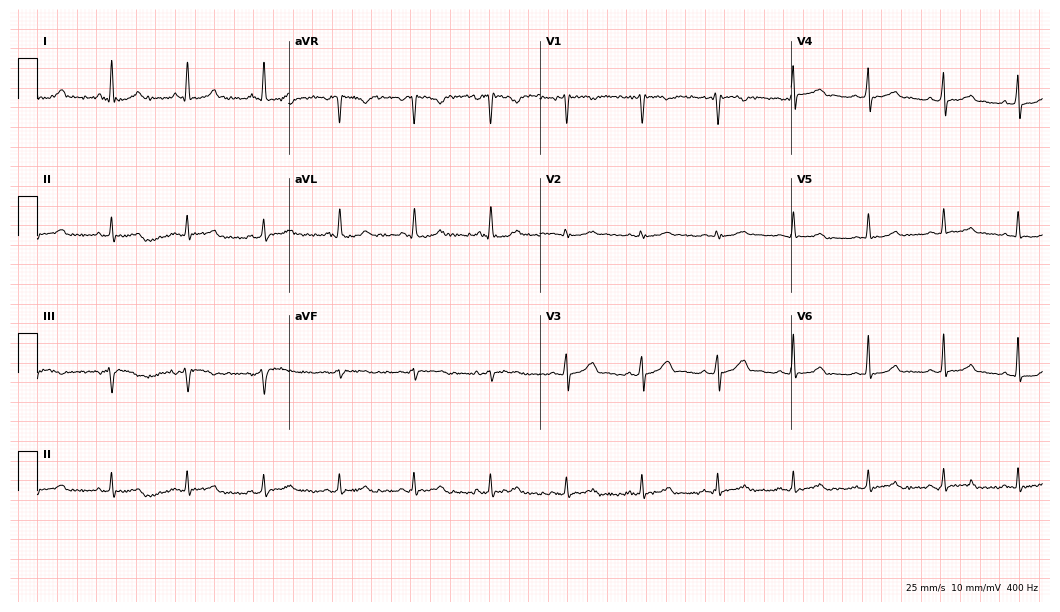
Electrocardiogram, a 42-year-old woman. Overall reading on record: normal ECG.